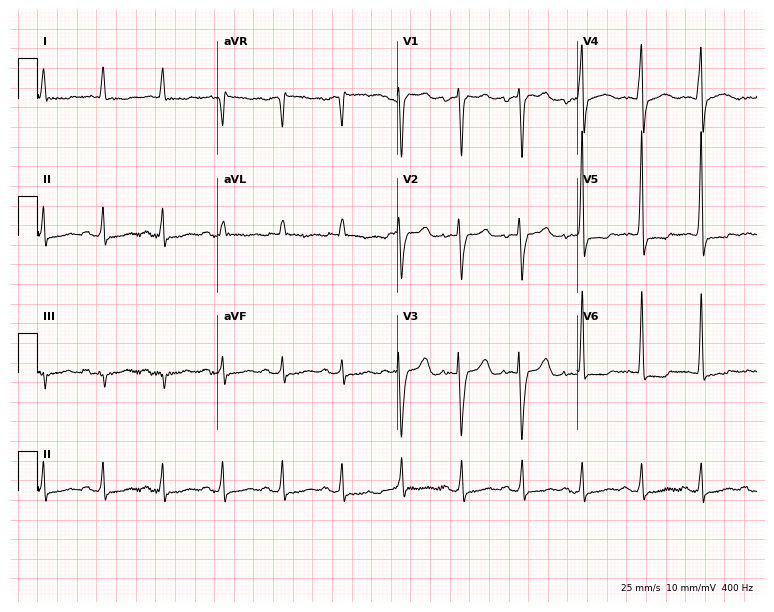
12-lead ECG from a woman, 83 years old. No first-degree AV block, right bundle branch block (RBBB), left bundle branch block (LBBB), sinus bradycardia, atrial fibrillation (AF) or sinus tachycardia recorded for this tracing. Other findings, if any, are not listed.